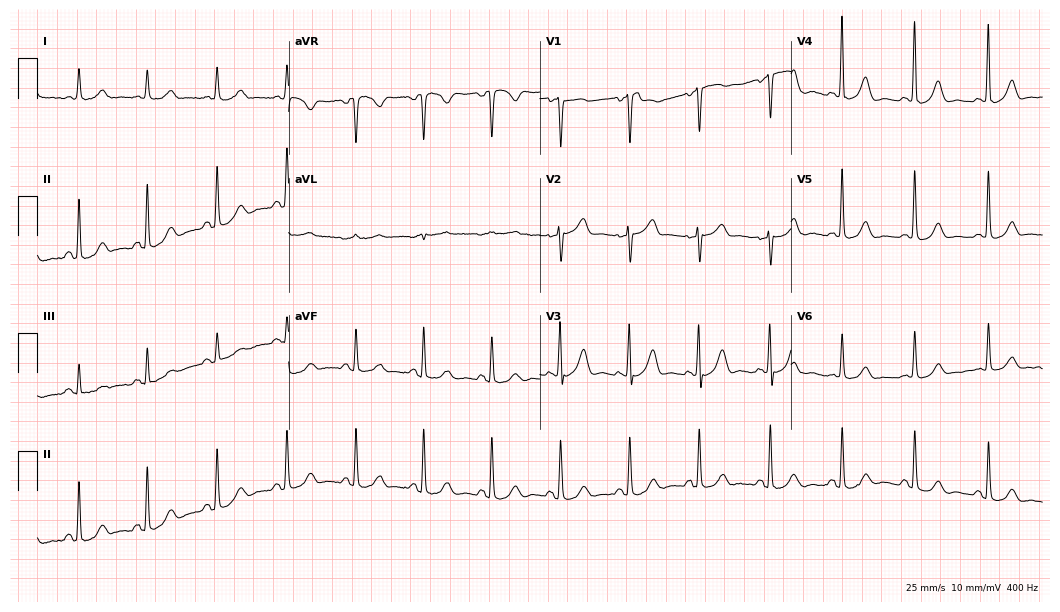
ECG — a 68-year-old woman. Labelled as a normal ECG.